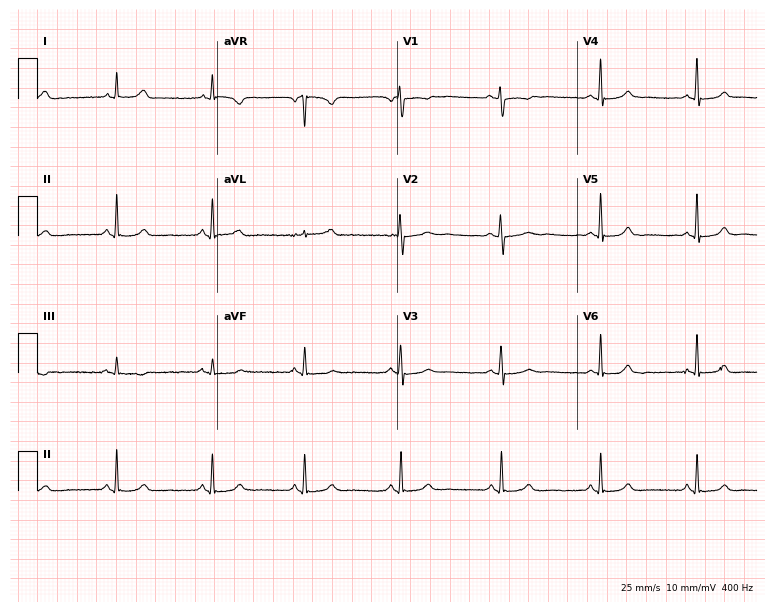
Resting 12-lead electrocardiogram (7.3-second recording at 400 Hz). Patient: a 26-year-old female. Read as a normal ECG.